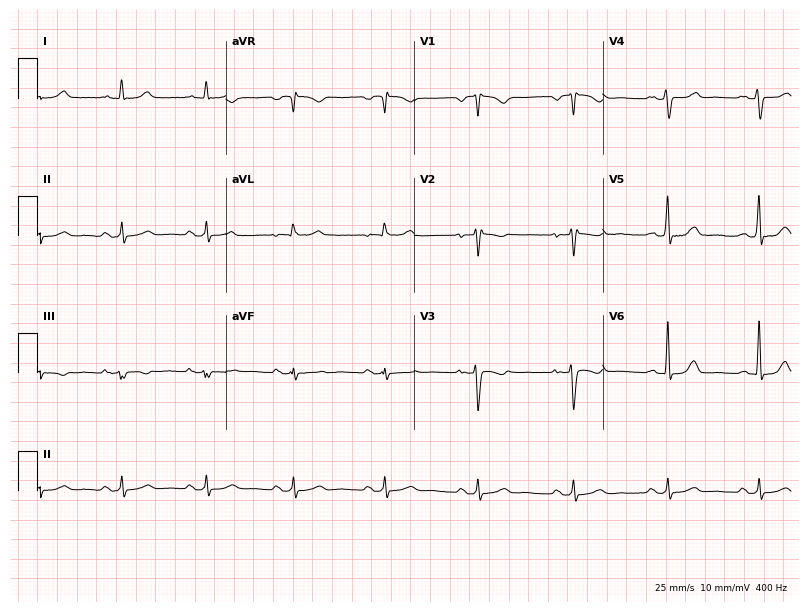
Electrocardiogram, a female patient, 38 years old. Of the six screened findings (first-degree AV block, right bundle branch block (RBBB), left bundle branch block (LBBB), sinus bradycardia, atrial fibrillation (AF), sinus tachycardia), none is recorded.